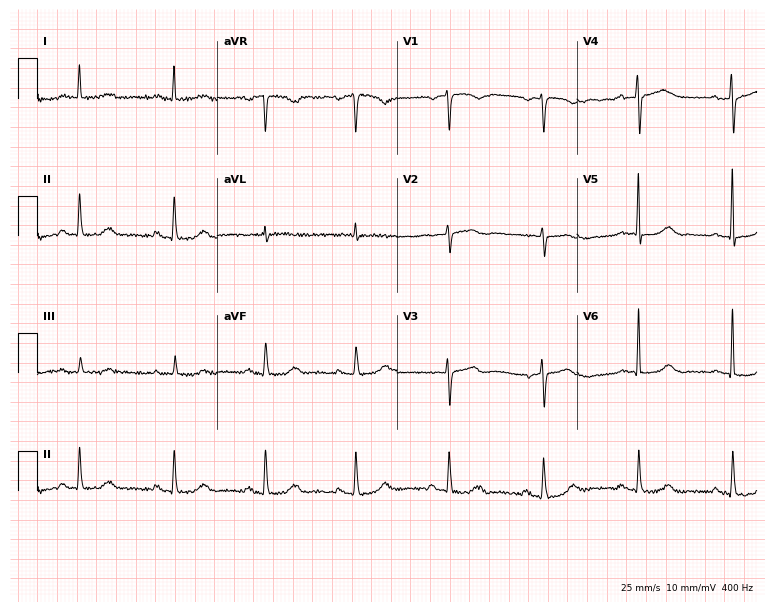
ECG (7.3-second recording at 400 Hz) — a woman, 64 years old. Labelled as a normal ECG.